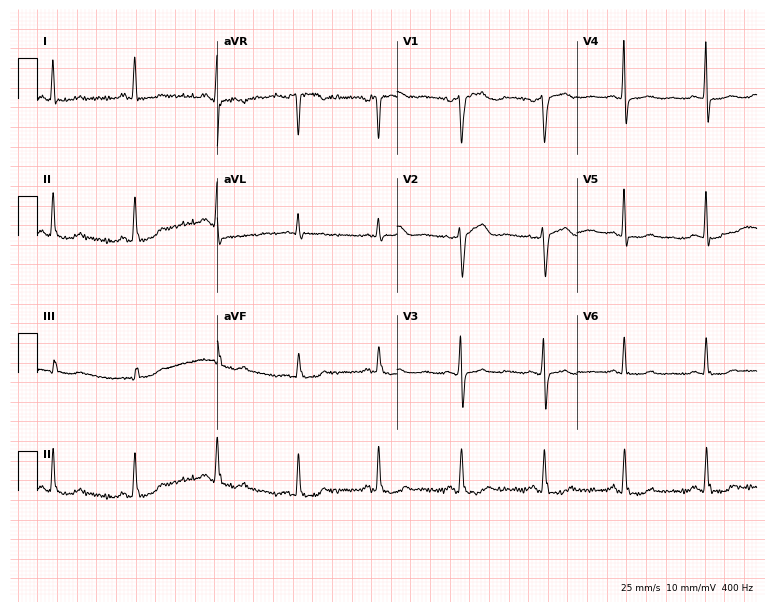
Electrocardiogram (7.3-second recording at 400 Hz), a 40-year-old female. Overall reading on record: normal ECG.